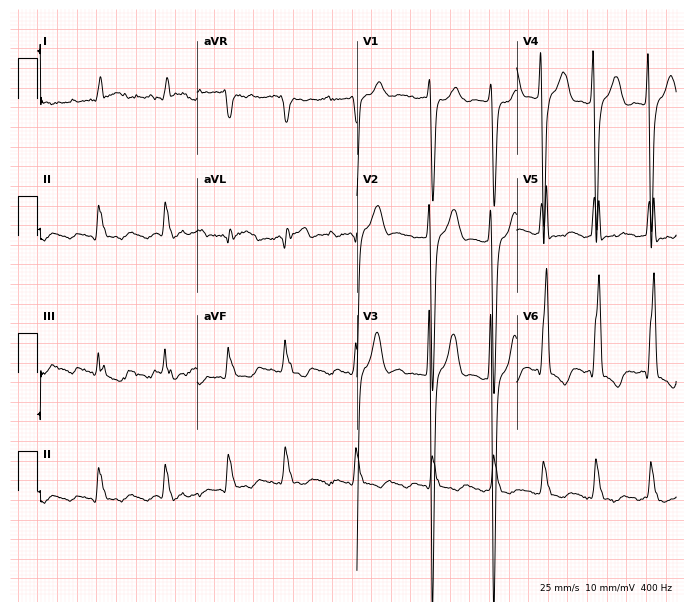
Resting 12-lead electrocardiogram. Patient: a 48-year-old male. The tracing shows atrial fibrillation.